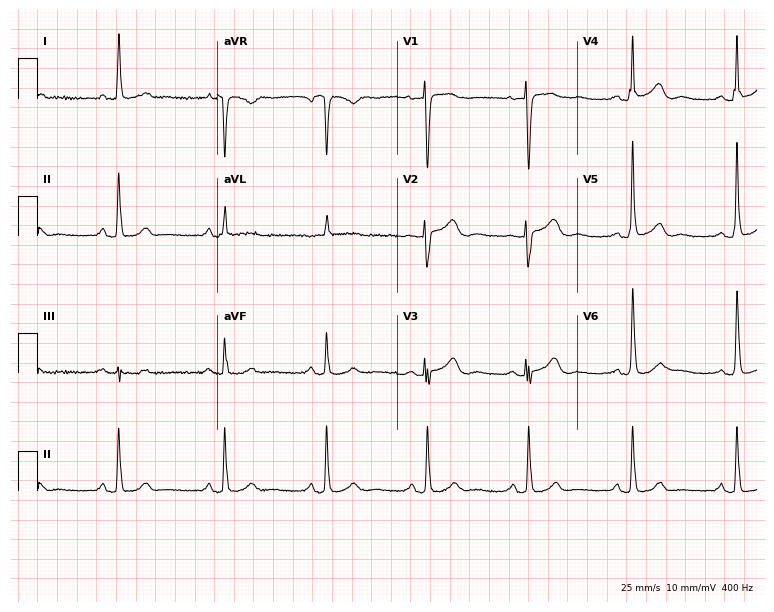
Standard 12-lead ECG recorded from a 72-year-old female patient. Read as a normal ECG.